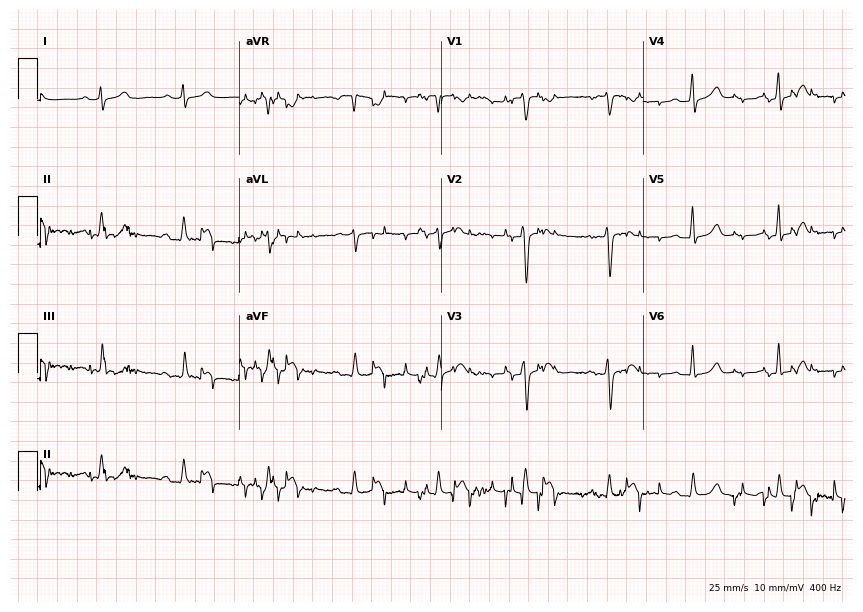
Standard 12-lead ECG recorded from a 39-year-old female (8.2-second recording at 400 Hz). None of these six findings is recorded: first-degree AV block, right bundle branch block, left bundle branch block, sinus bradycardia, atrial fibrillation, sinus tachycardia. Other findings, if any, are not listed.